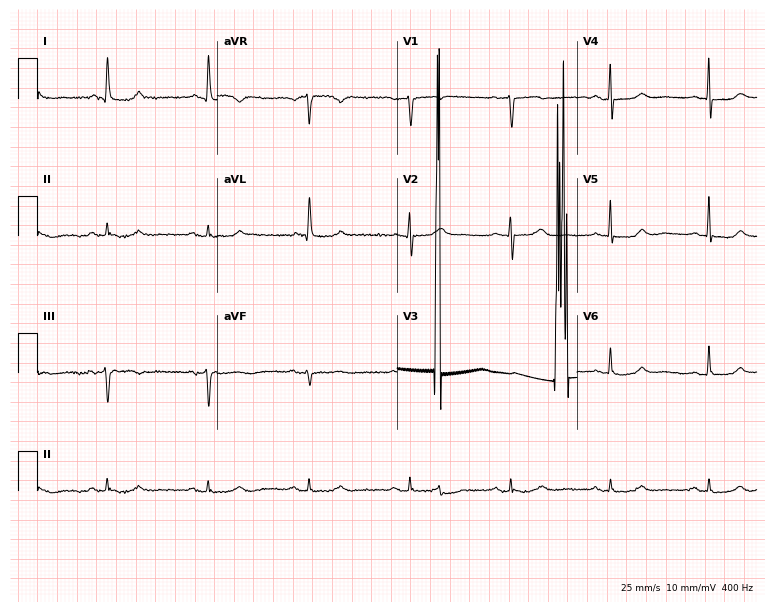
Standard 12-lead ECG recorded from a 78-year-old female (7.3-second recording at 400 Hz). None of these six findings is recorded: first-degree AV block, right bundle branch block, left bundle branch block, sinus bradycardia, atrial fibrillation, sinus tachycardia.